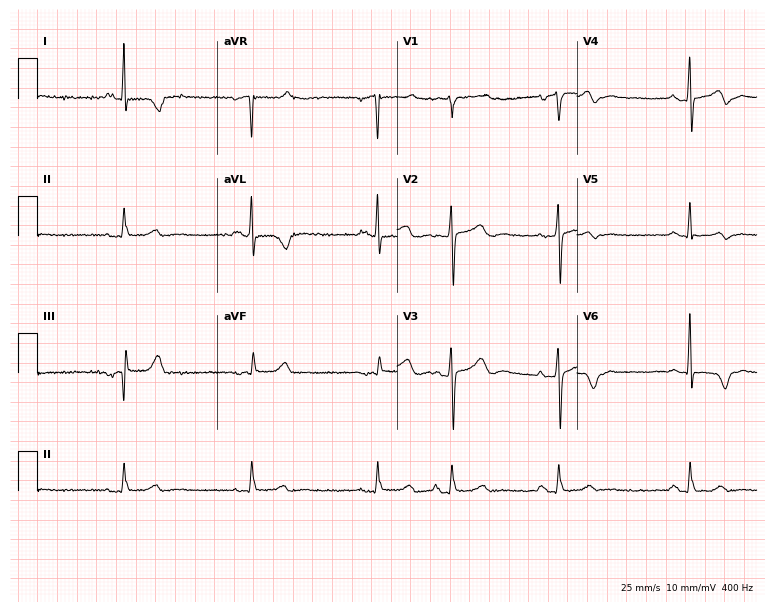
Electrocardiogram (7.3-second recording at 400 Hz), a man, 78 years old. Of the six screened findings (first-degree AV block, right bundle branch block (RBBB), left bundle branch block (LBBB), sinus bradycardia, atrial fibrillation (AF), sinus tachycardia), none is recorded.